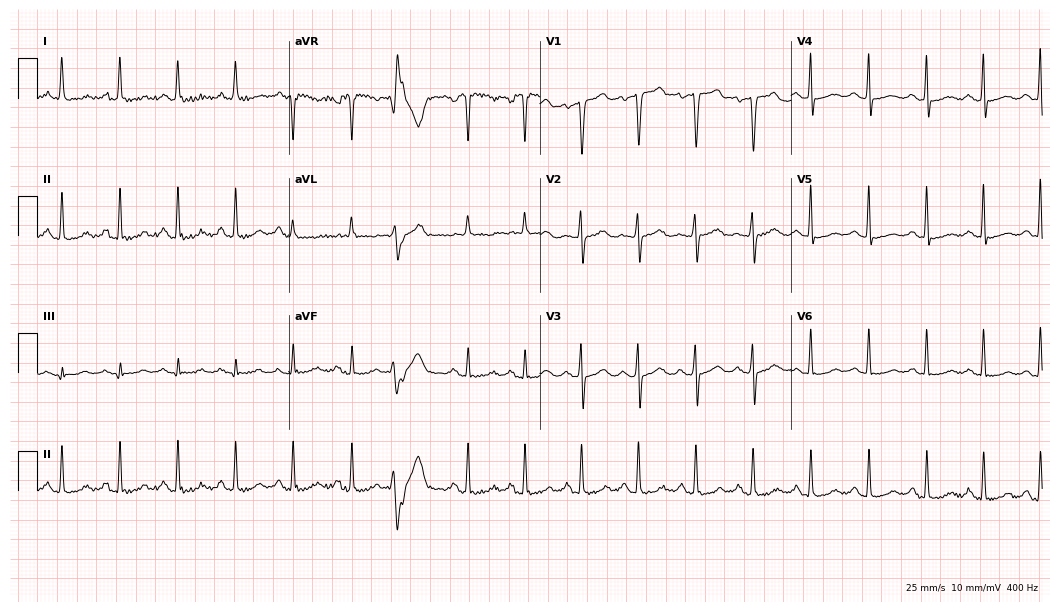
12-lead ECG (10.2-second recording at 400 Hz) from a 72-year-old female patient. Findings include sinus tachycardia (a sinus rate of 100 beats per minute or more).